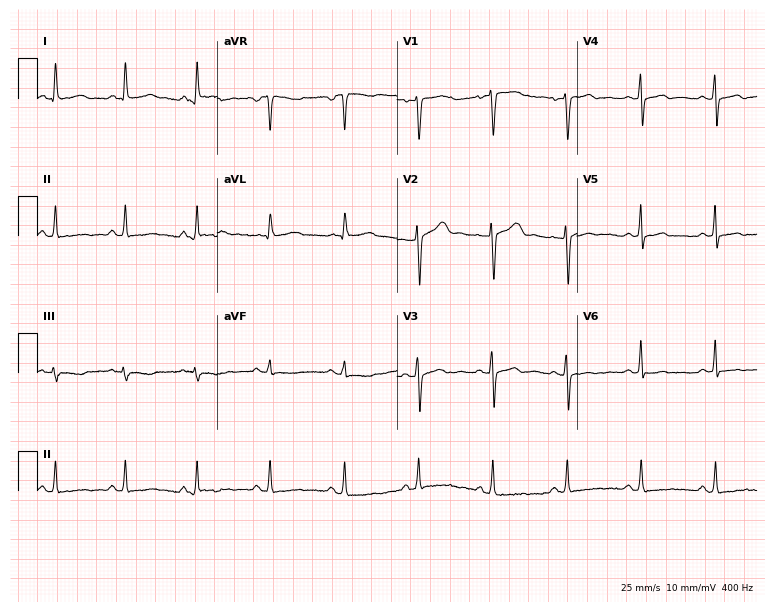
12-lead ECG from a 50-year-old woman (7.3-second recording at 400 Hz). No first-degree AV block, right bundle branch block (RBBB), left bundle branch block (LBBB), sinus bradycardia, atrial fibrillation (AF) or sinus tachycardia recorded for this tracing.